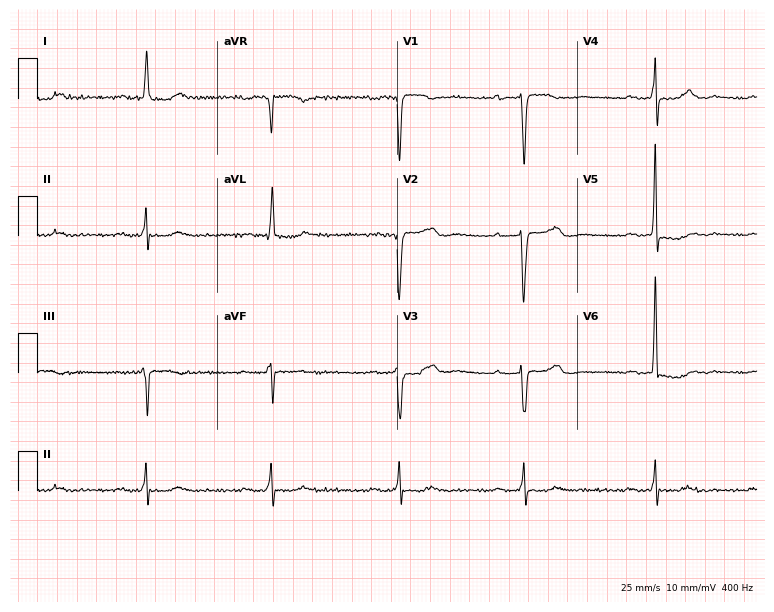
12-lead ECG (7.3-second recording at 400 Hz) from a female patient, 70 years old. Findings include first-degree AV block, sinus bradycardia (a sinus rate of 50 beats per minute or less).